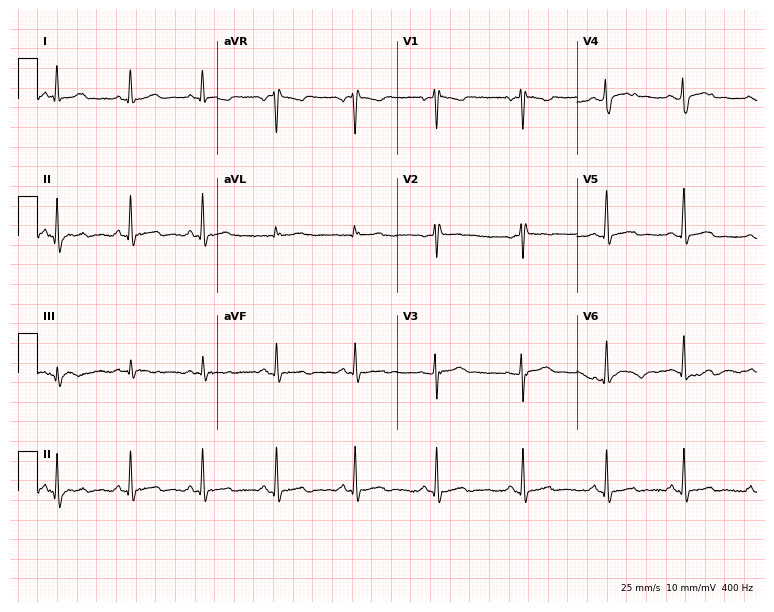
Standard 12-lead ECG recorded from a 21-year-old female patient (7.3-second recording at 400 Hz). None of these six findings is recorded: first-degree AV block, right bundle branch block (RBBB), left bundle branch block (LBBB), sinus bradycardia, atrial fibrillation (AF), sinus tachycardia. Only these six findings were labelled.